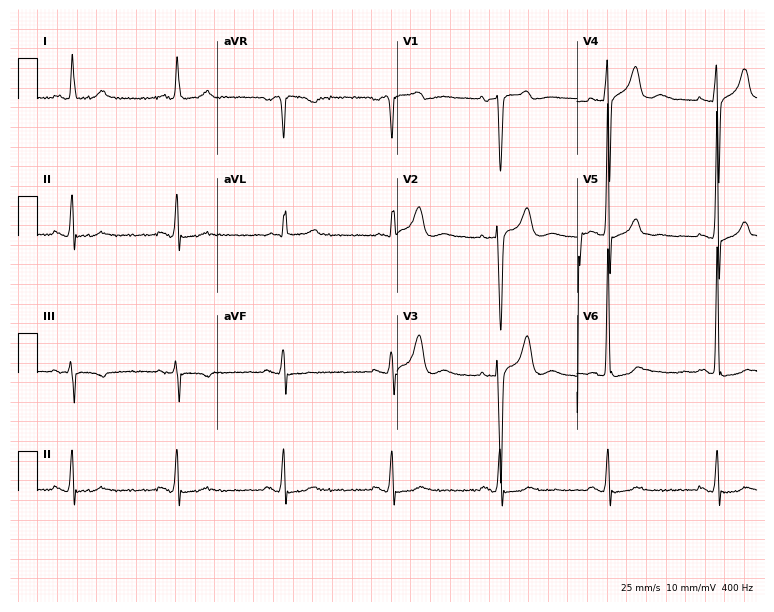
Resting 12-lead electrocardiogram (7.3-second recording at 400 Hz). Patient: a man, 81 years old. Read as a normal ECG.